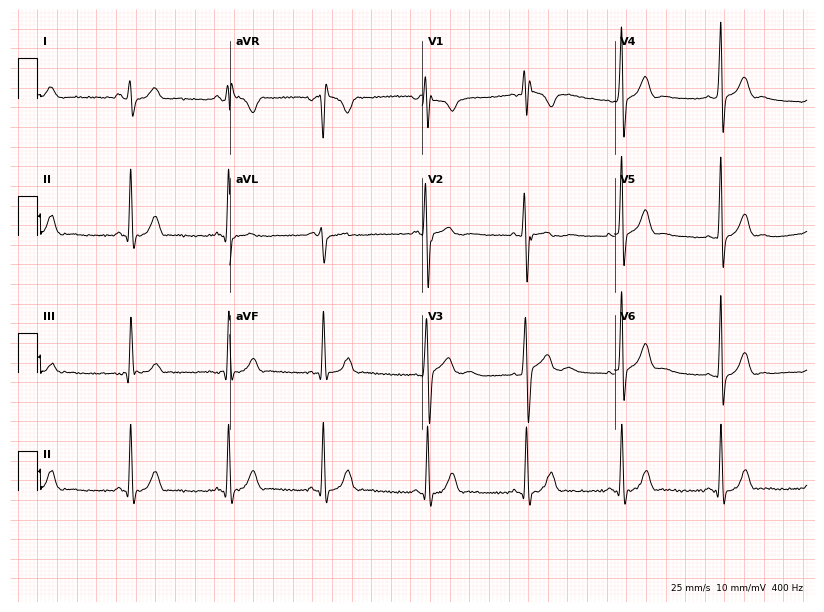
ECG (7.8-second recording at 400 Hz) — a 30-year-old male patient. Screened for six findings — first-degree AV block, right bundle branch block (RBBB), left bundle branch block (LBBB), sinus bradycardia, atrial fibrillation (AF), sinus tachycardia — none is recorded.